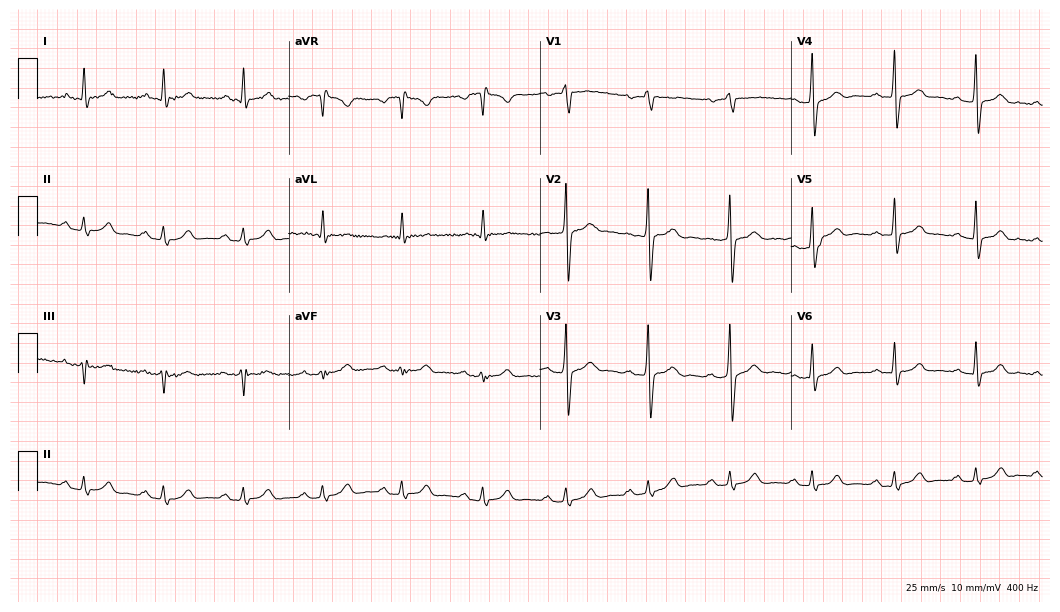
Resting 12-lead electrocardiogram. Patient: a male, 51 years old. None of these six findings is recorded: first-degree AV block, right bundle branch block (RBBB), left bundle branch block (LBBB), sinus bradycardia, atrial fibrillation (AF), sinus tachycardia. Other findings, if any, are not listed.